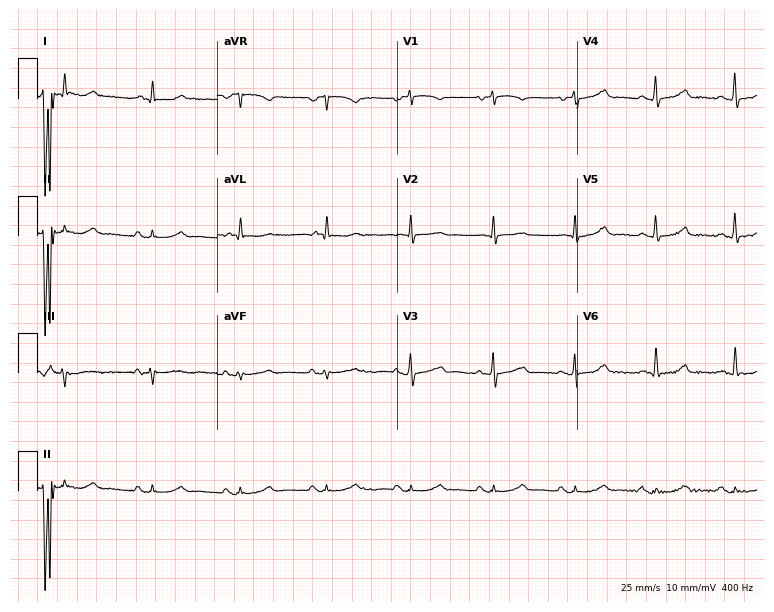
Electrocardiogram (7.3-second recording at 400 Hz), a male patient, 79 years old. Overall reading on record: normal ECG.